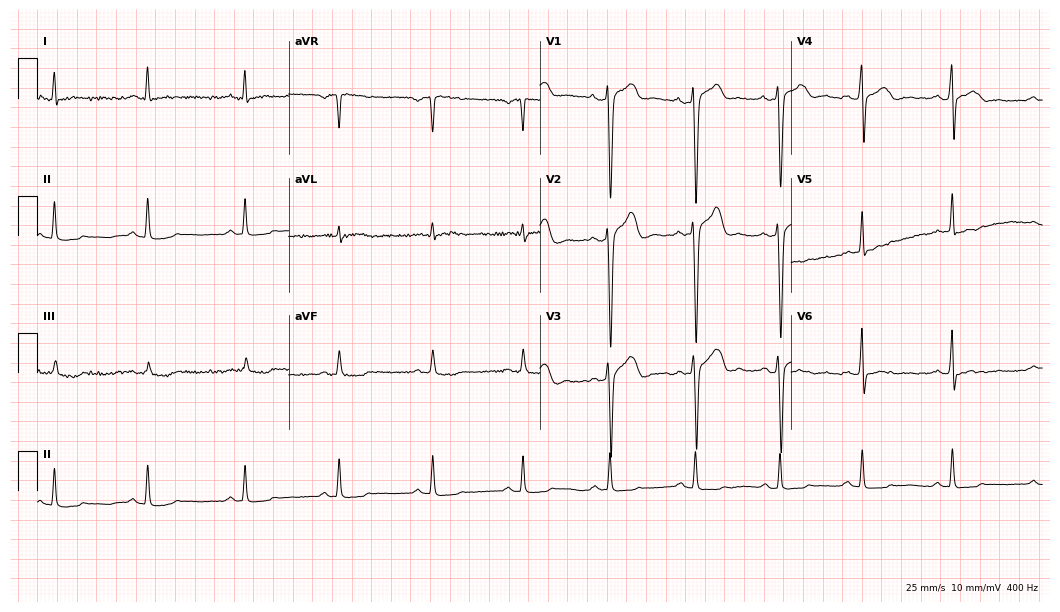
Electrocardiogram (10.2-second recording at 400 Hz), a male patient, 44 years old. Of the six screened findings (first-degree AV block, right bundle branch block (RBBB), left bundle branch block (LBBB), sinus bradycardia, atrial fibrillation (AF), sinus tachycardia), none is recorded. Findings outside these six are not listed.